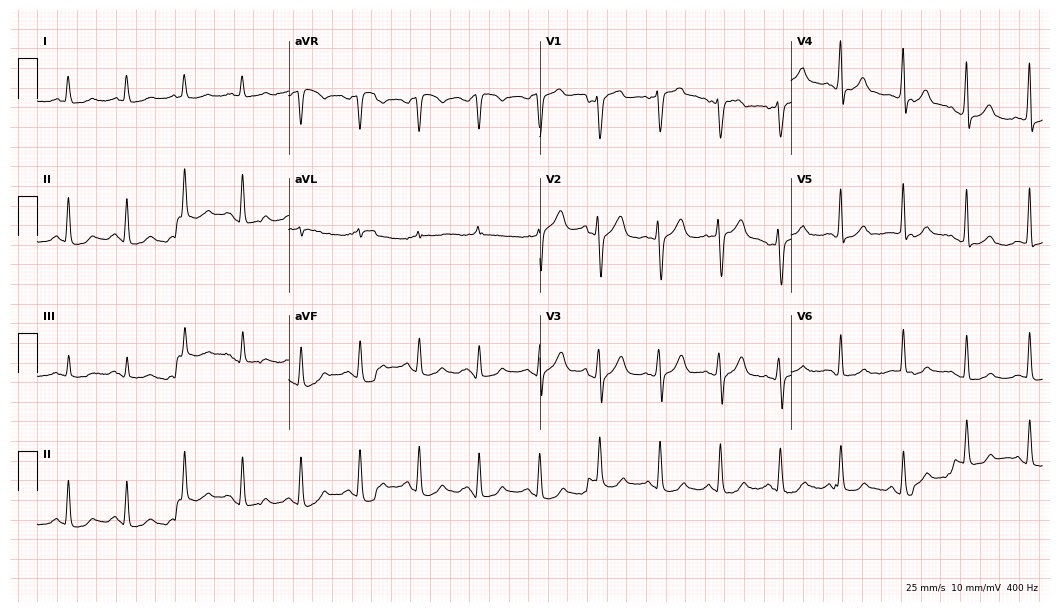
Resting 12-lead electrocardiogram (10.2-second recording at 400 Hz). Patient: a male, 72 years old. None of these six findings is recorded: first-degree AV block, right bundle branch block, left bundle branch block, sinus bradycardia, atrial fibrillation, sinus tachycardia. Other findings, if any, are not listed.